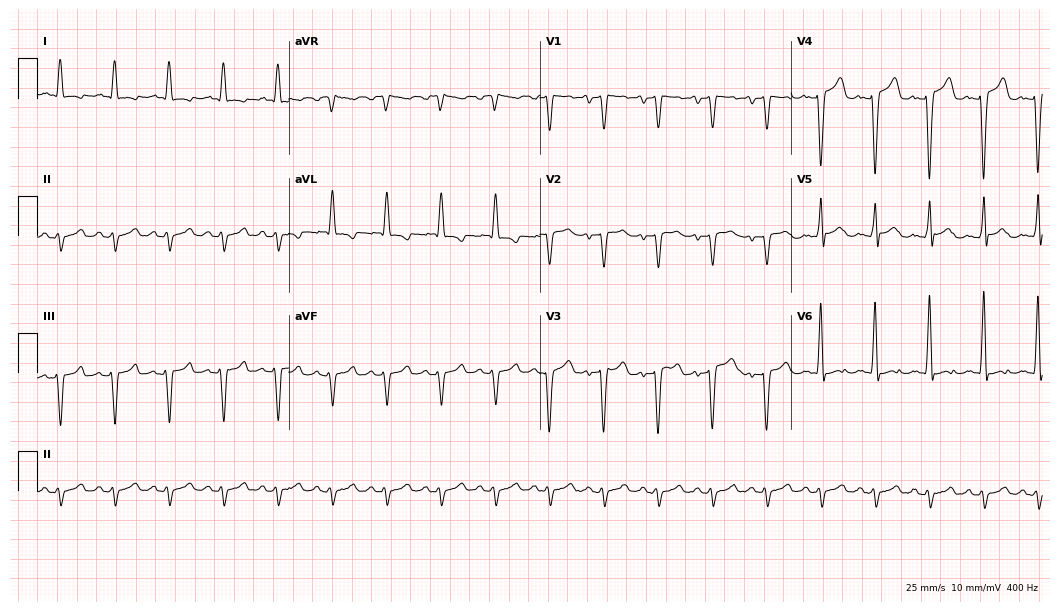
12-lead ECG from a male patient, 64 years old. Findings include sinus tachycardia (a sinus rate of 100 beats per minute or more).